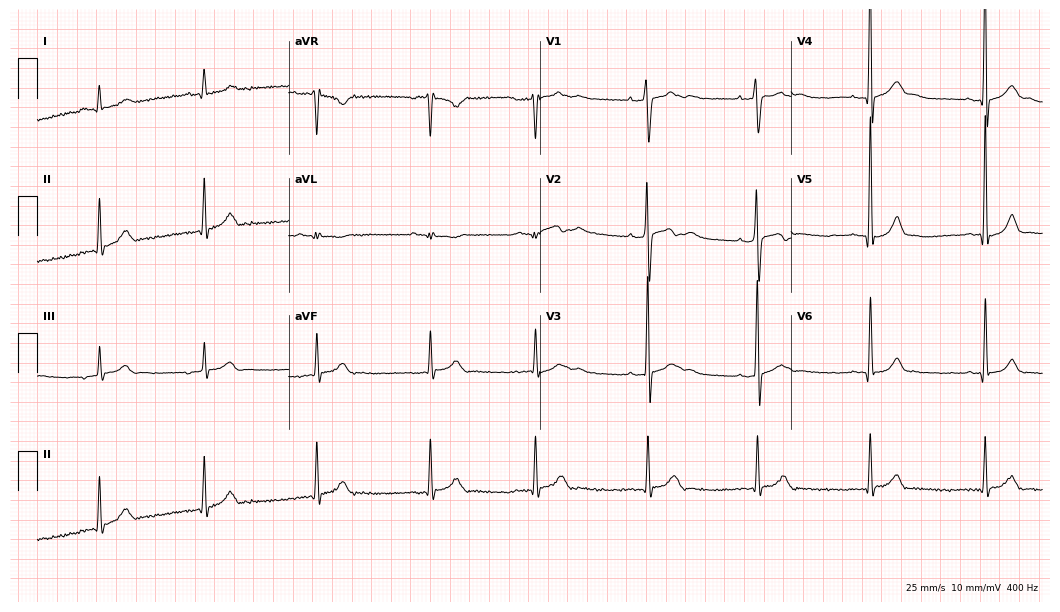
12-lead ECG from a male patient, 17 years old. Recorded interpretation: within normal limits.